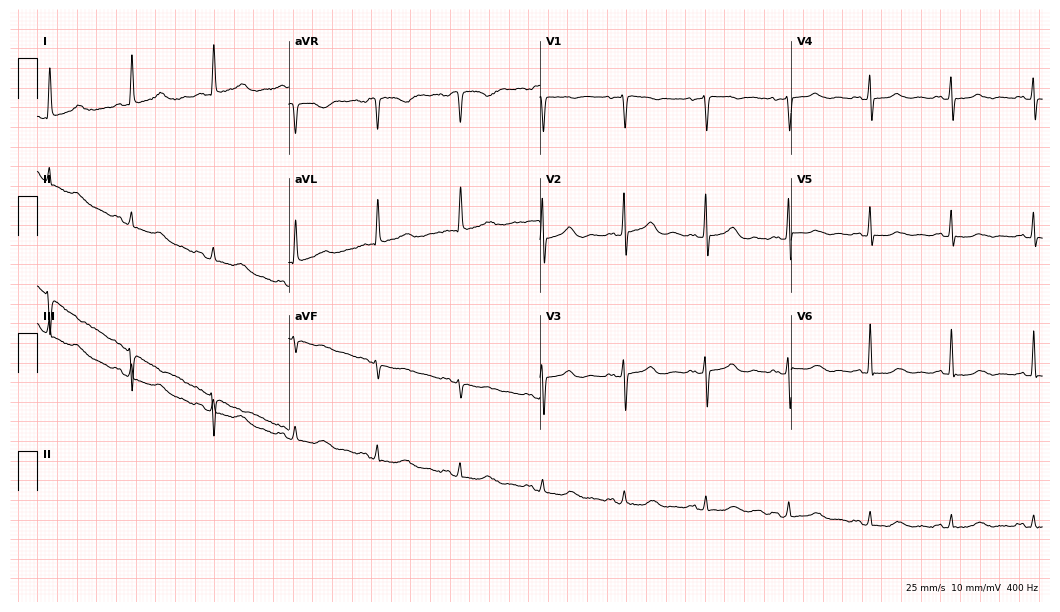
Standard 12-lead ECG recorded from an 83-year-old female patient. None of these six findings is recorded: first-degree AV block, right bundle branch block, left bundle branch block, sinus bradycardia, atrial fibrillation, sinus tachycardia. Only these six findings were labelled.